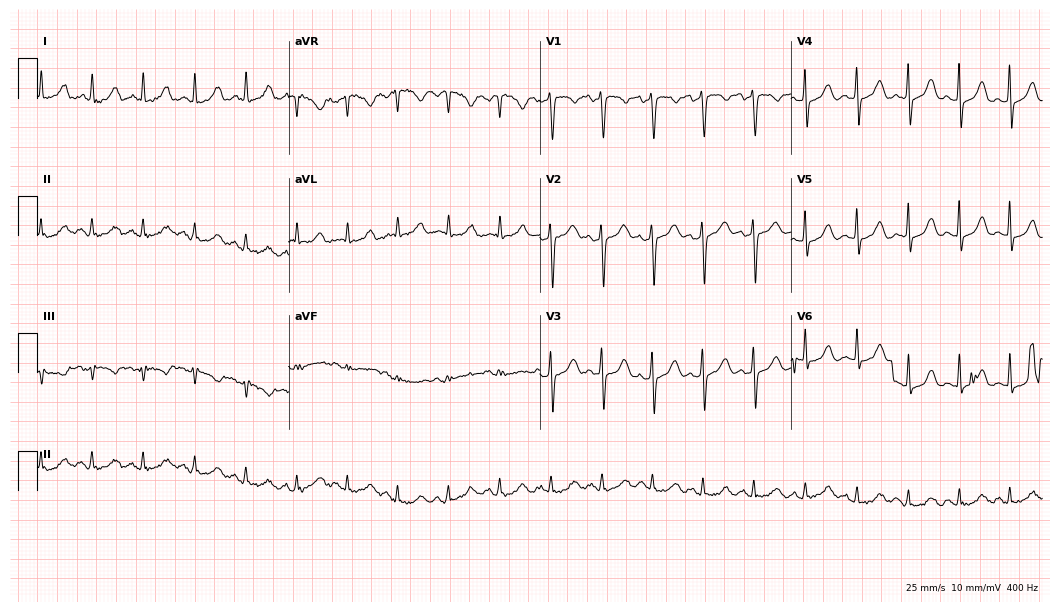
Electrocardiogram (10.2-second recording at 400 Hz), a woman, 49 years old. Interpretation includes sinus tachycardia (a sinus rate of 100 beats per minute or more).